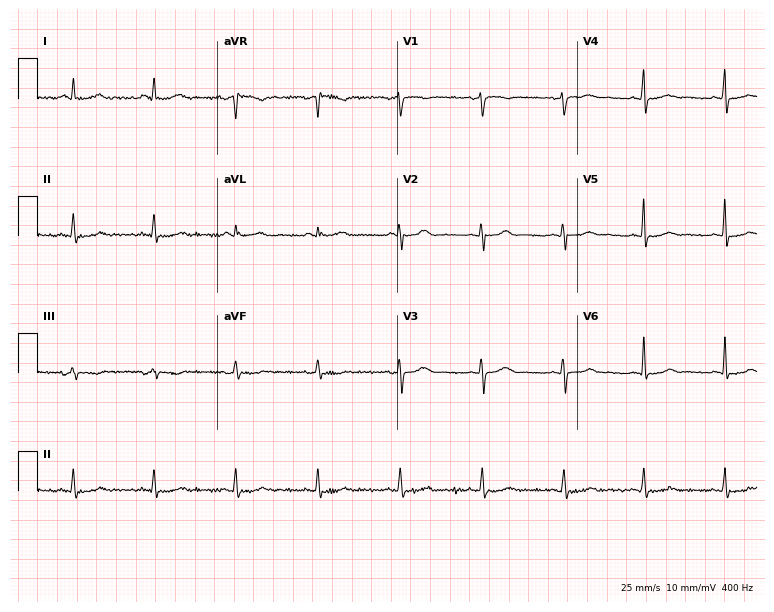
12-lead ECG (7.3-second recording at 400 Hz) from a 32-year-old woman. Screened for six findings — first-degree AV block, right bundle branch block, left bundle branch block, sinus bradycardia, atrial fibrillation, sinus tachycardia — none is recorded.